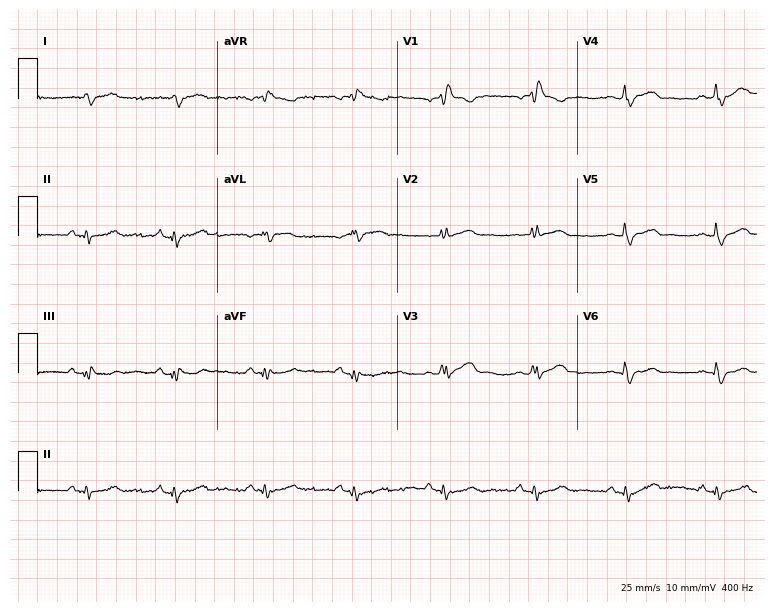
ECG — a 57-year-old man. Screened for six findings — first-degree AV block, right bundle branch block, left bundle branch block, sinus bradycardia, atrial fibrillation, sinus tachycardia — none is recorded. Other findings, if any, are not listed.